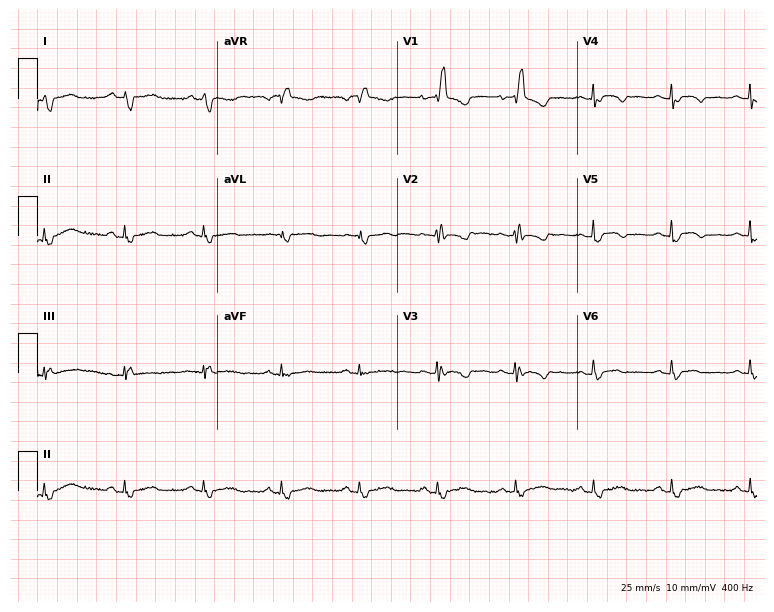
Electrocardiogram (7.3-second recording at 400 Hz), a female, 52 years old. Of the six screened findings (first-degree AV block, right bundle branch block, left bundle branch block, sinus bradycardia, atrial fibrillation, sinus tachycardia), none is recorded. Only these six findings were labelled.